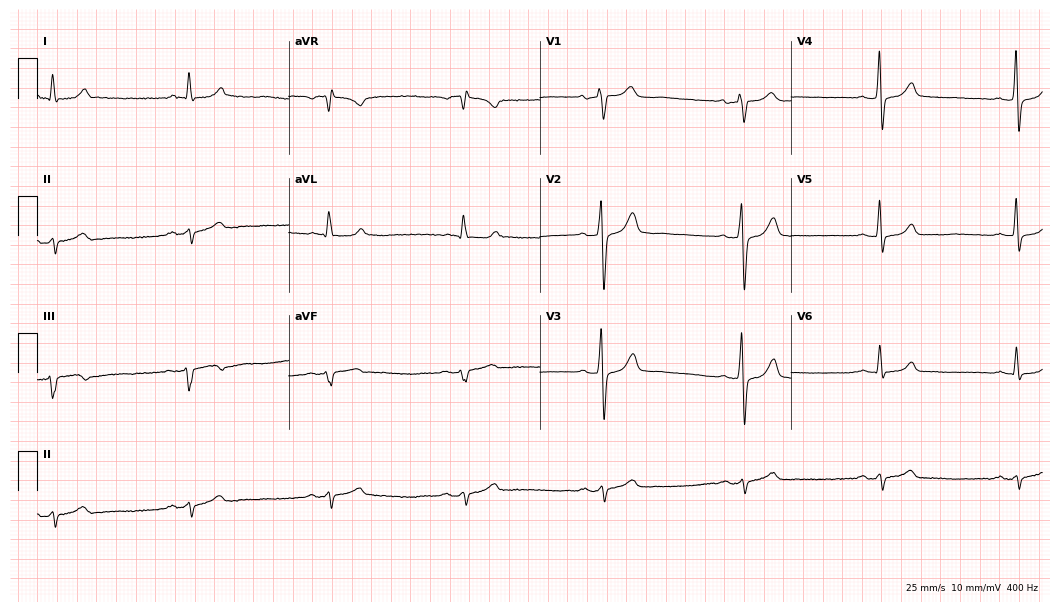
12-lead ECG (10.2-second recording at 400 Hz) from a 78-year-old man. Screened for six findings — first-degree AV block, right bundle branch block (RBBB), left bundle branch block (LBBB), sinus bradycardia, atrial fibrillation (AF), sinus tachycardia — none is recorded.